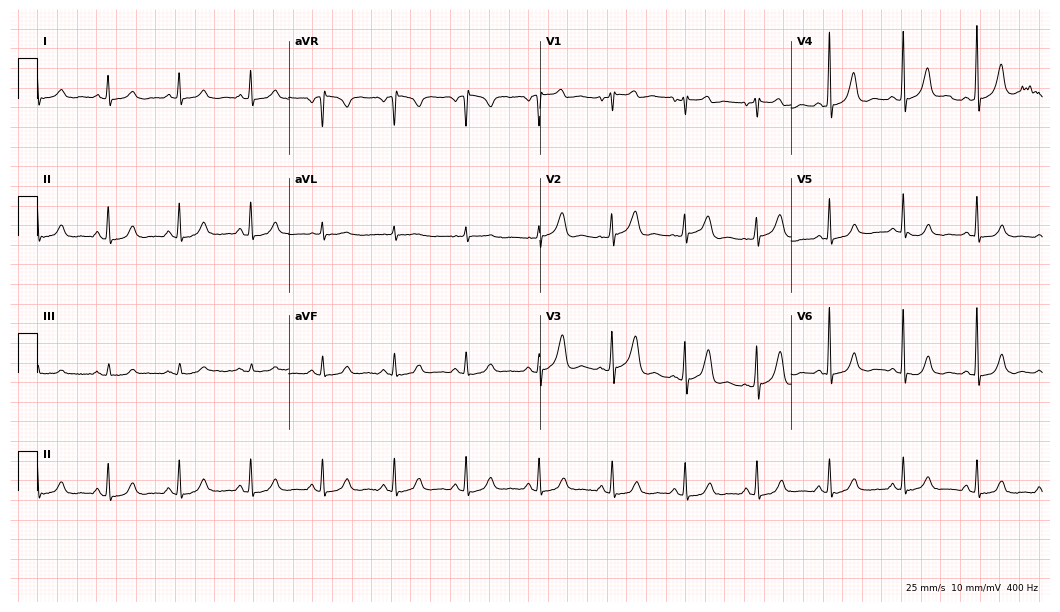
Electrocardiogram (10.2-second recording at 400 Hz), a 61-year-old man. Overall reading on record: normal ECG.